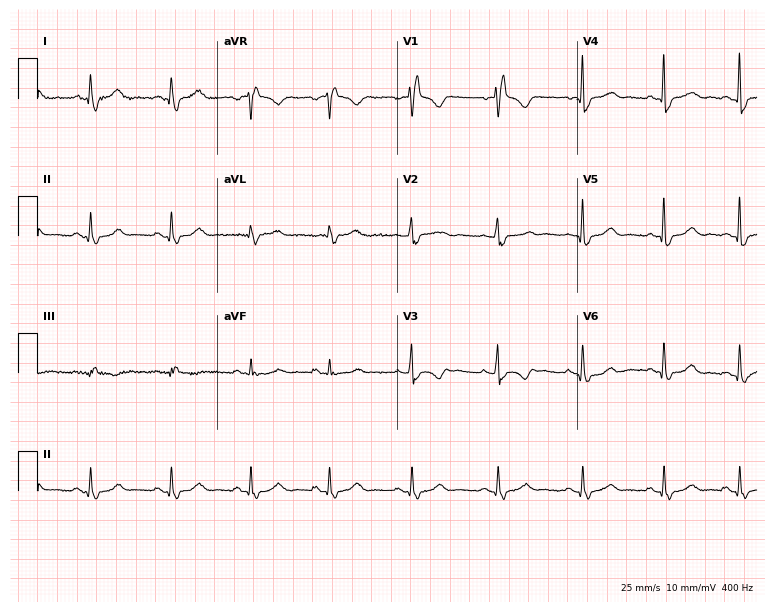
12-lead ECG (7.3-second recording at 400 Hz) from a woman, 43 years old. Findings include right bundle branch block.